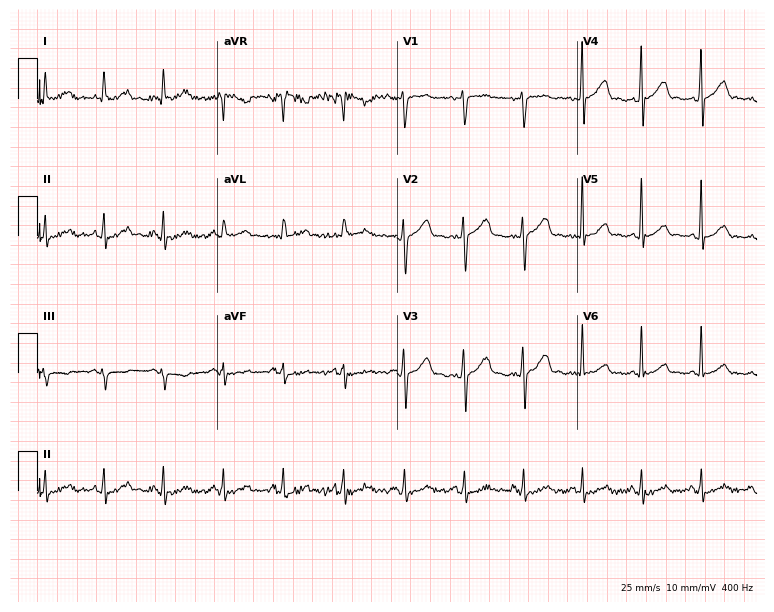
Resting 12-lead electrocardiogram (7.3-second recording at 400 Hz). Patient: a 48-year-old woman. None of these six findings is recorded: first-degree AV block, right bundle branch block, left bundle branch block, sinus bradycardia, atrial fibrillation, sinus tachycardia.